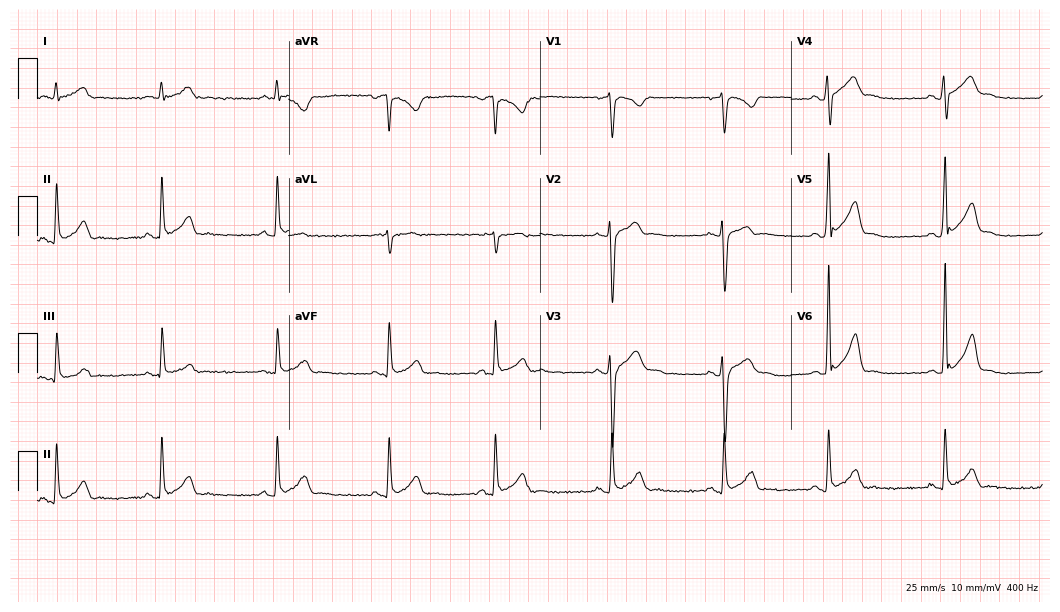
12-lead ECG from a male, 25 years old. Screened for six findings — first-degree AV block, right bundle branch block, left bundle branch block, sinus bradycardia, atrial fibrillation, sinus tachycardia — none is recorded. Findings outside these six are not listed.